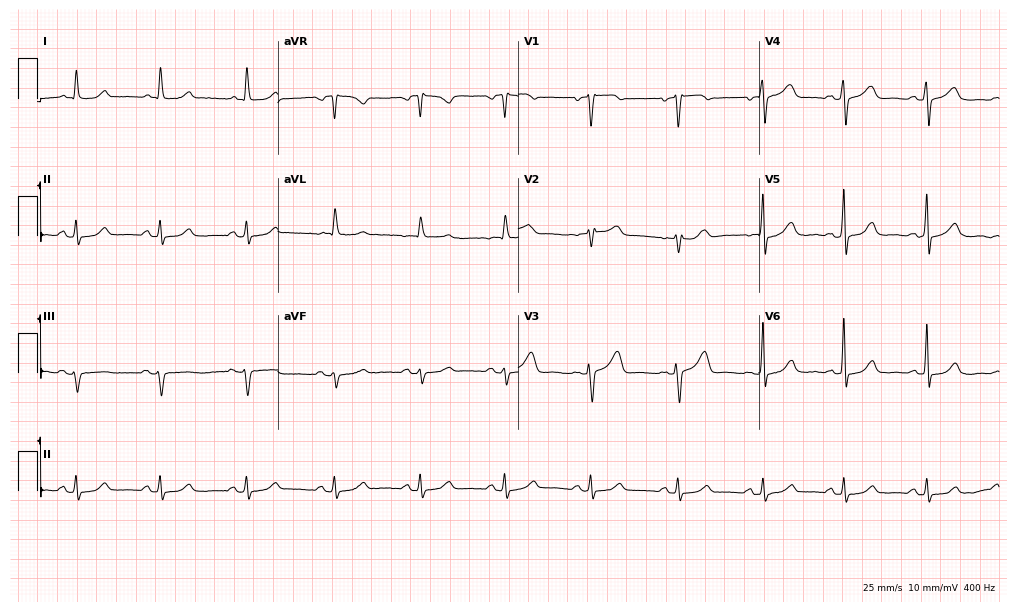
Standard 12-lead ECG recorded from an 80-year-old woman (9.8-second recording at 400 Hz). None of these six findings is recorded: first-degree AV block, right bundle branch block, left bundle branch block, sinus bradycardia, atrial fibrillation, sinus tachycardia. Only these six findings were labelled.